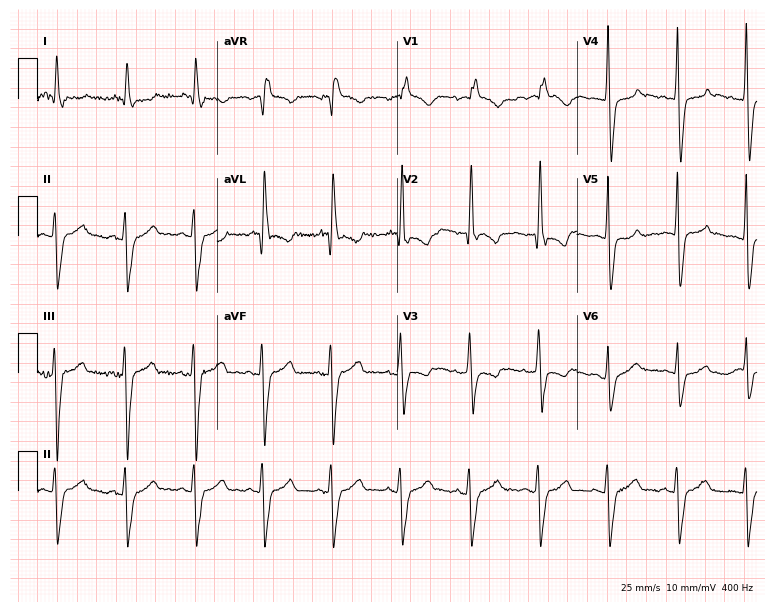
Standard 12-lead ECG recorded from a 67-year-old female (7.3-second recording at 400 Hz). The tracing shows right bundle branch block.